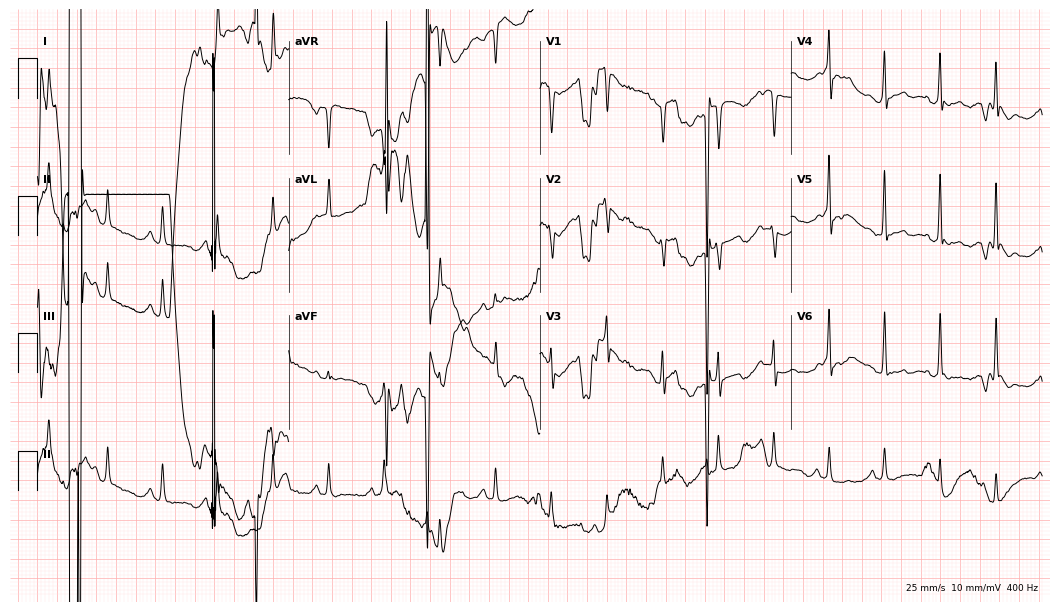
12-lead ECG from a female, 76 years old. Screened for six findings — first-degree AV block, right bundle branch block, left bundle branch block, sinus bradycardia, atrial fibrillation, sinus tachycardia — none is recorded.